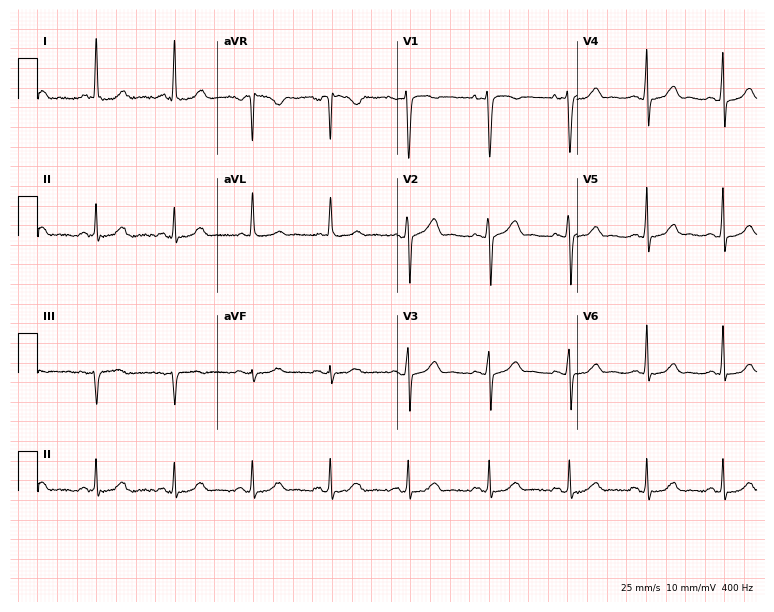
Standard 12-lead ECG recorded from a female patient, 31 years old. Read as a normal ECG.